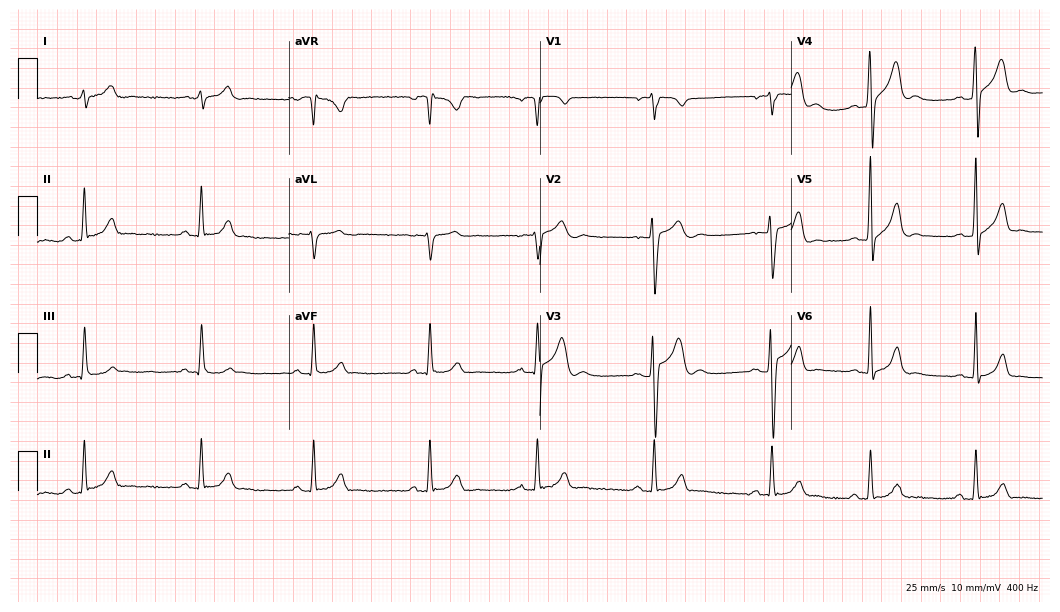
Standard 12-lead ECG recorded from a man, 17 years old. Read as a normal ECG.